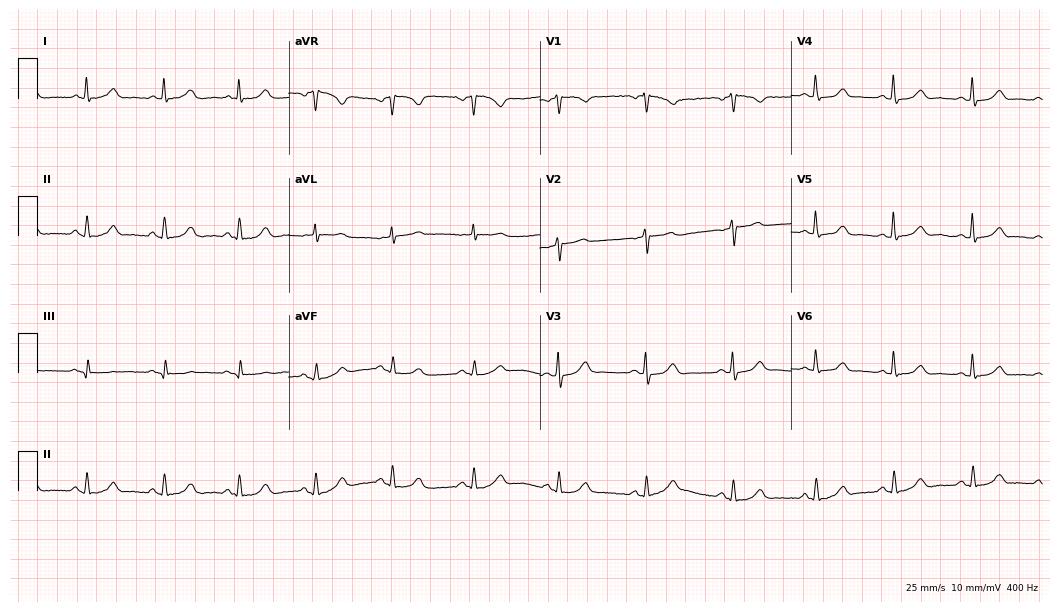
ECG — a woman, 61 years old. Screened for six findings — first-degree AV block, right bundle branch block, left bundle branch block, sinus bradycardia, atrial fibrillation, sinus tachycardia — none is recorded. Other findings, if any, are not listed.